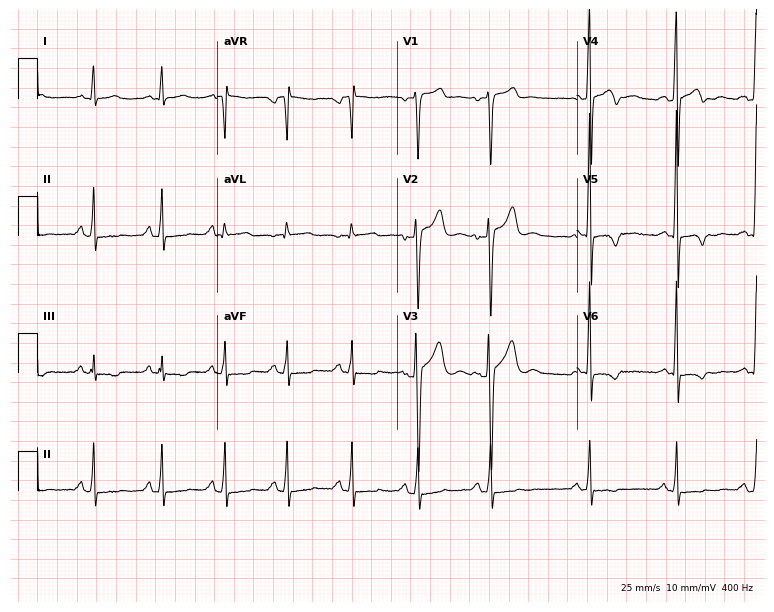
12-lead ECG from a male patient, 47 years old. No first-degree AV block, right bundle branch block, left bundle branch block, sinus bradycardia, atrial fibrillation or sinus tachycardia recorded for this tracing. Findings outside these six are not listed.